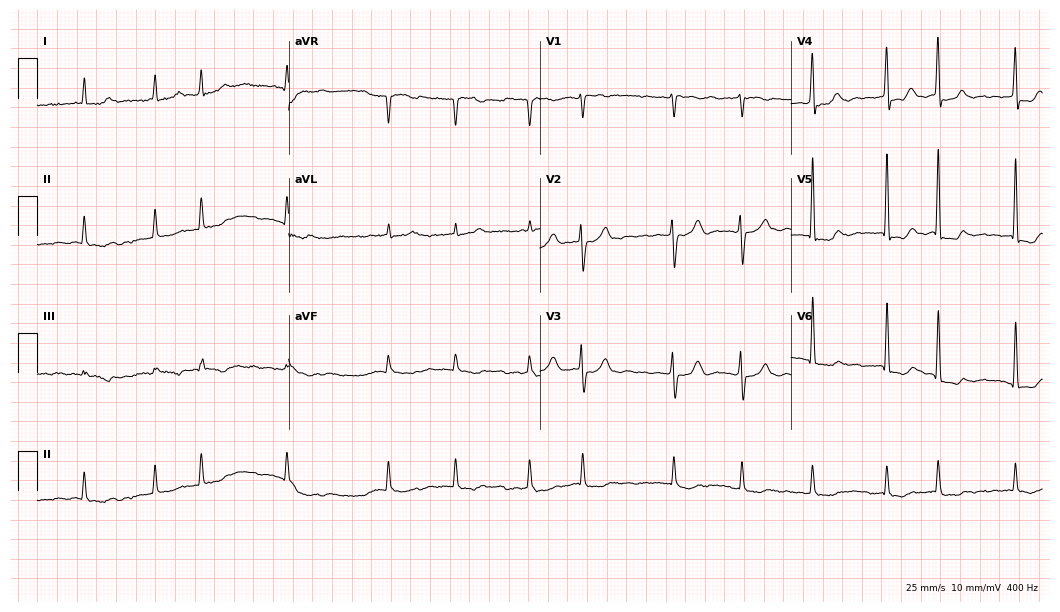
Resting 12-lead electrocardiogram (10.2-second recording at 400 Hz). Patient: a 74-year-old female. The tracing shows atrial fibrillation.